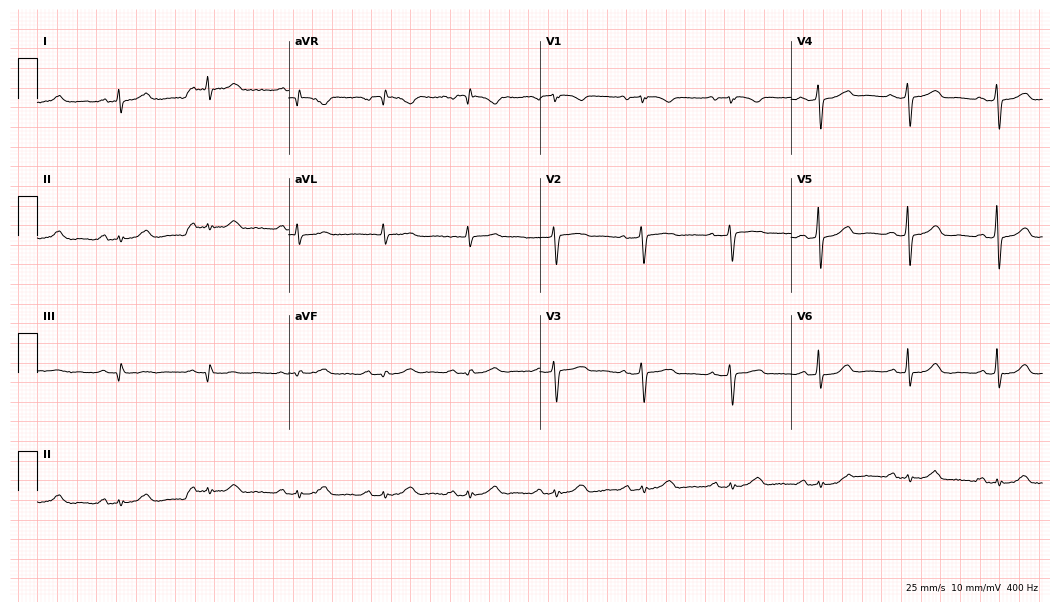
Resting 12-lead electrocardiogram. Patient: a 62-year-old woman. Read as a normal ECG.